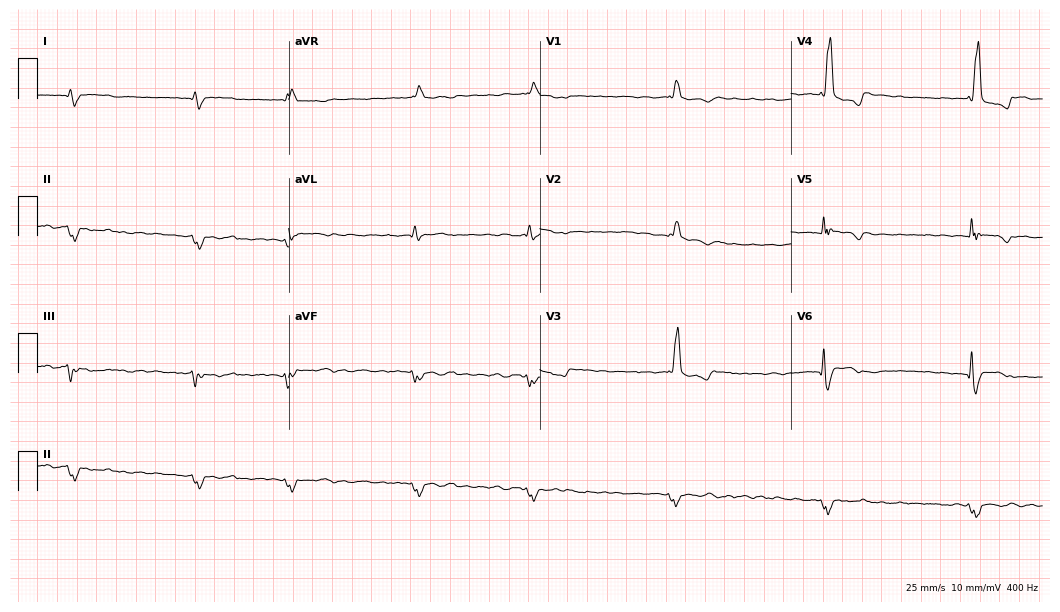
12-lead ECG from an 83-year-old man. Findings include right bundle branch block (RBBB), atrial fibrillation (AF).